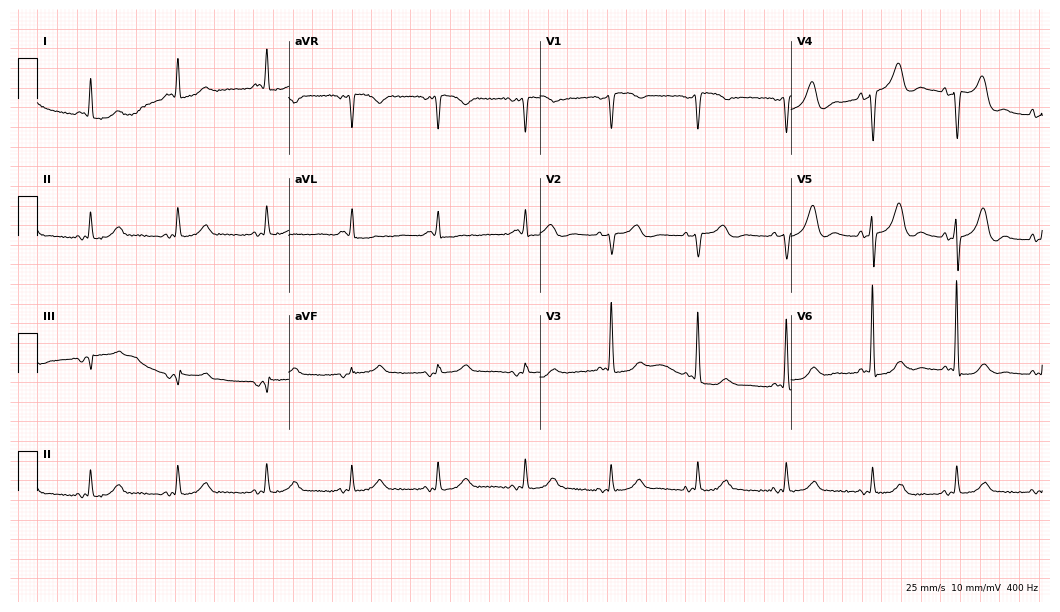
ECG (10.2-second recording at 400 Hz) — a 79-year-old female. Screened for six findings — first-degree AV block, right bundle branch block, left bundle branch block, sinus bradycardia, atrial fibrillation, sinus tachycardia — none is recorded.